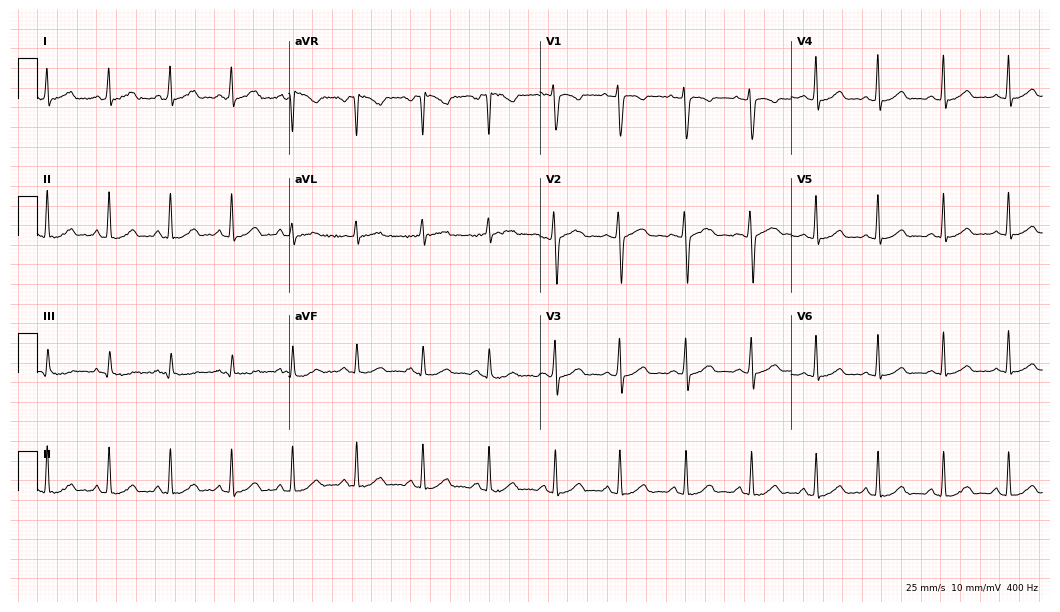
12-lead ECG from a female, 31 years old. Labelled as a normal ECG.